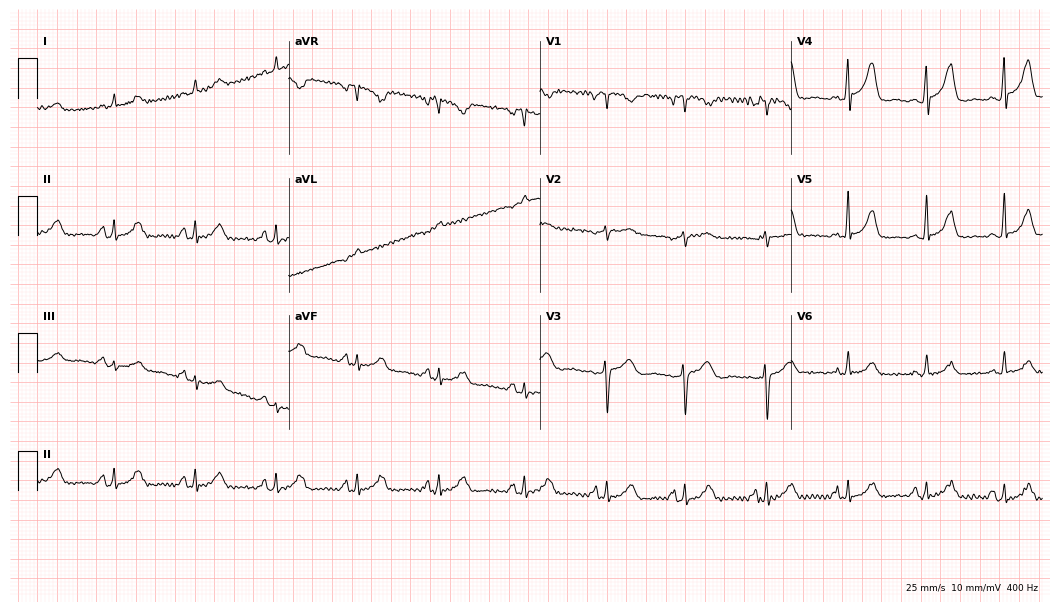
12-lead ECG from a woman, 39 years old. Recorded interpretation: within normal limits.